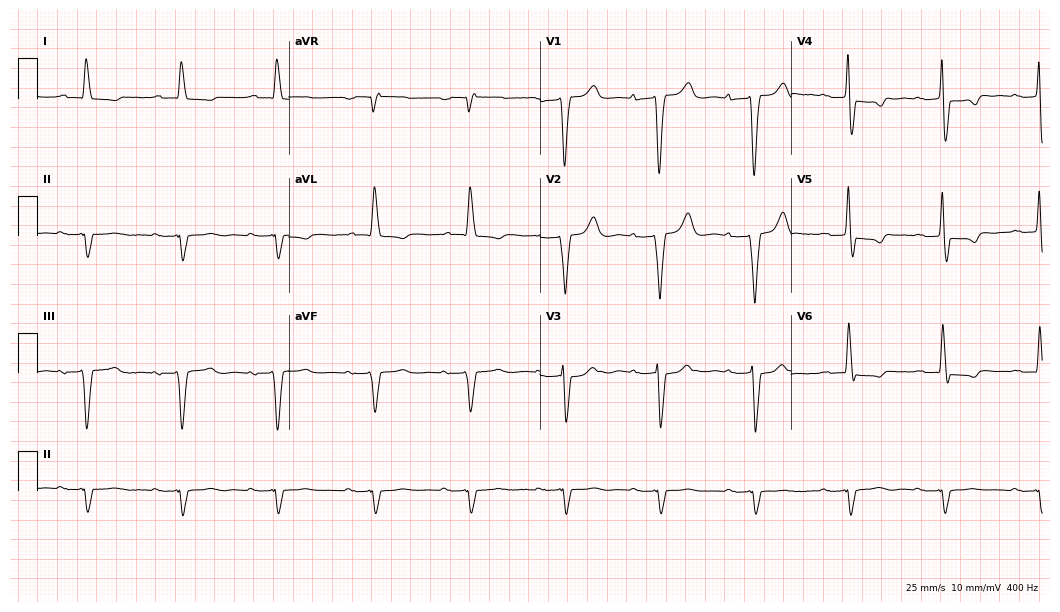
12-lead ECG (10.2-second recording at 400 Hz) from a 77-year-old female. Findings include first-degree AV block, left bundle branch block (LBBB).